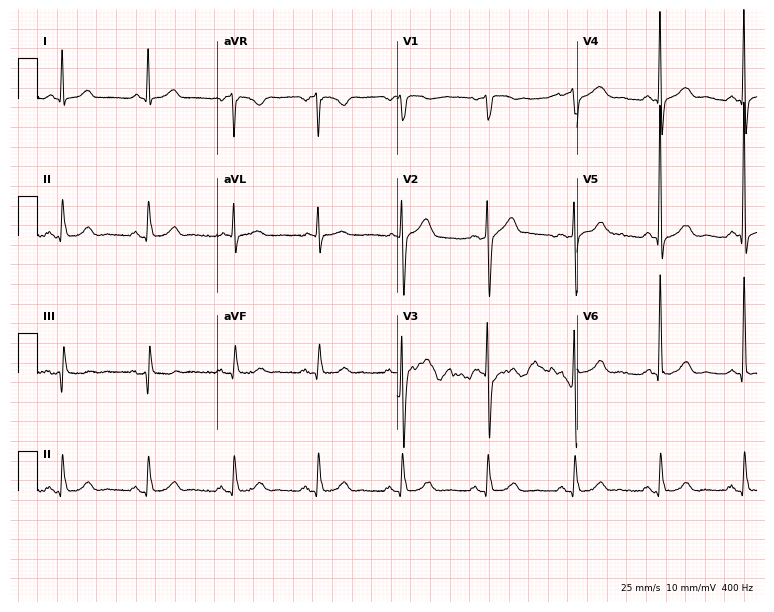
12-lead ECG (7.3-second recording at 400 Hz) from a 71-year-old male. Labelled as a normal ECG.